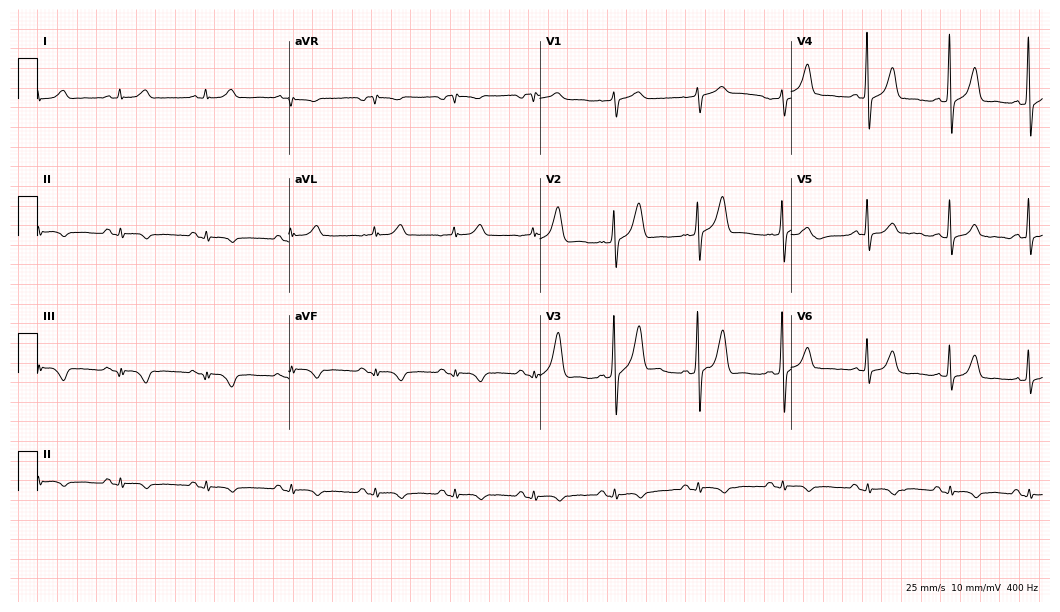
Resting 12-lead electrocardiogram (10.2-second recording at 400 Hz). Patient: a 67-year-old male. None of these six findings is recorded: first-degree AV block, right bundle branch block, left bundle branch block, sinus bradycardia, atrial fibrillation, sinus tachycardia. Other findings, if any, are not listed.